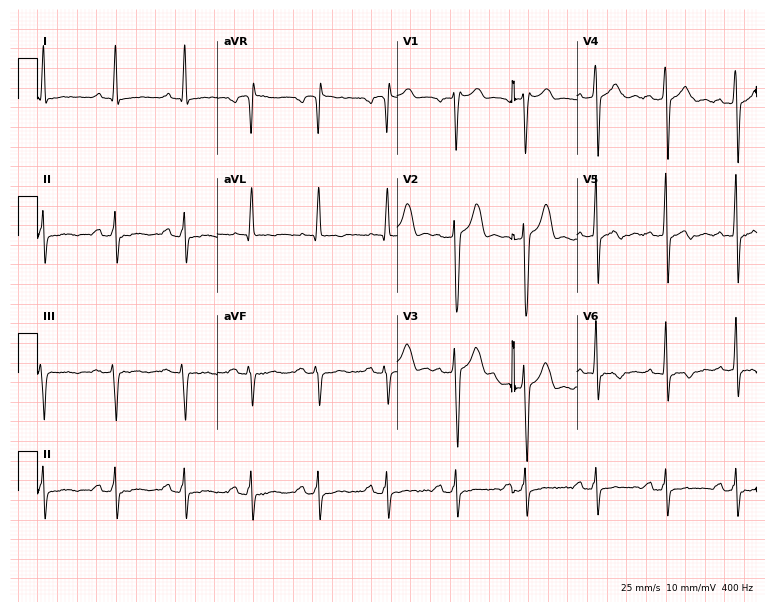
Resting 12-lead electrocardiogram. Patient: a male, 45 years old. None of these six findings is recorded: first-degree AV block, right bundle branch block, left bundle branch block, sinus bradycardia, atrial fibrillation, sinus tachycardia.